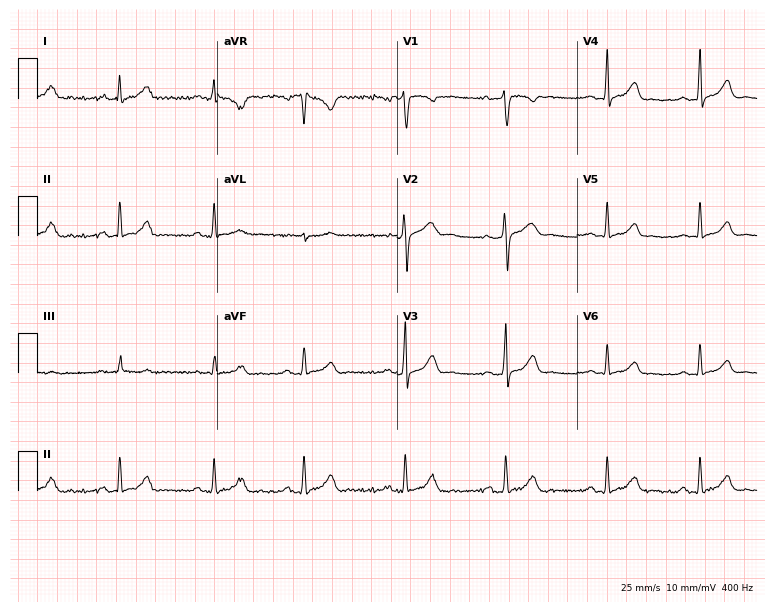
12-lead ECG (7.3-second recording at 400 Hz) from a woman, 34 years old. Labelled as a normal ECG.